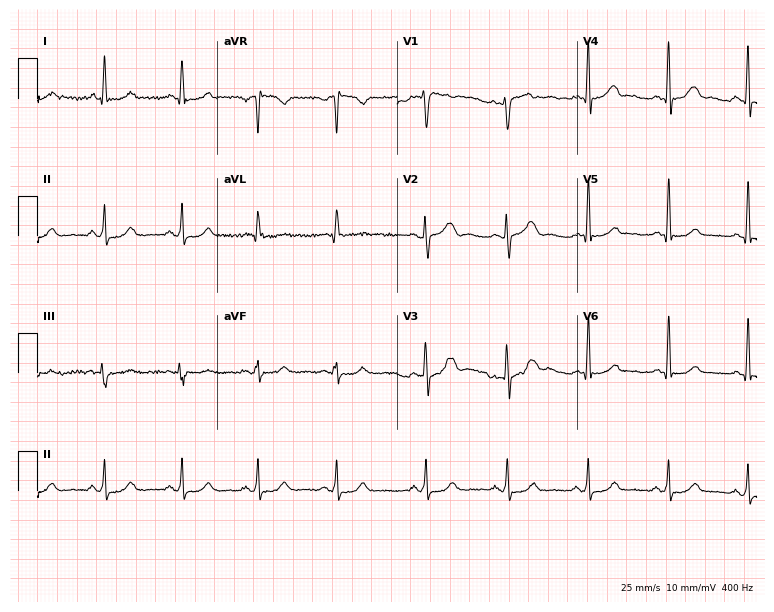
Resting 12-lead electrocardiogram. Patient: a 42-year-old female. None of these six findings is recorded: first-degree AV block, right bundle branch block, left bundle branch block, sinus bradycardia, atrial fibrillation, sinus tachycardia. Findings outside these six are not listed.